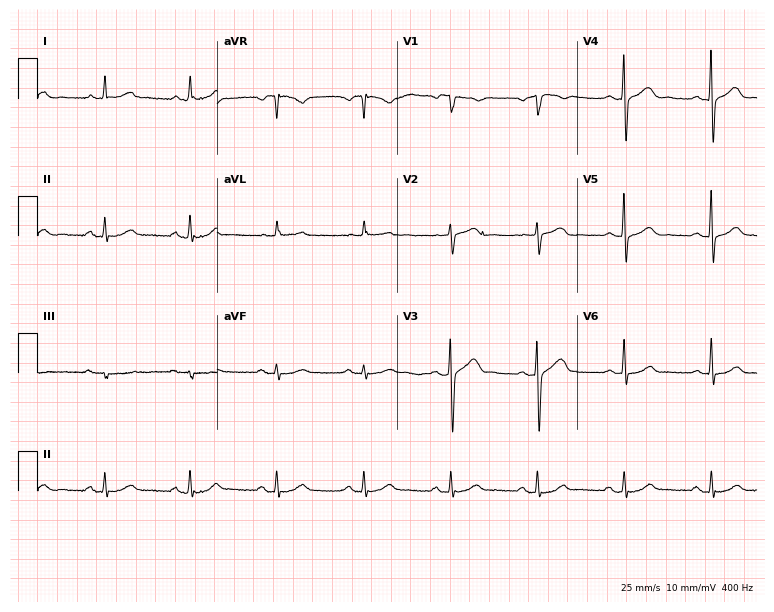
Standard 12-lead ECG recorded from a 73-year-old male patient. Read as a normal ECG.